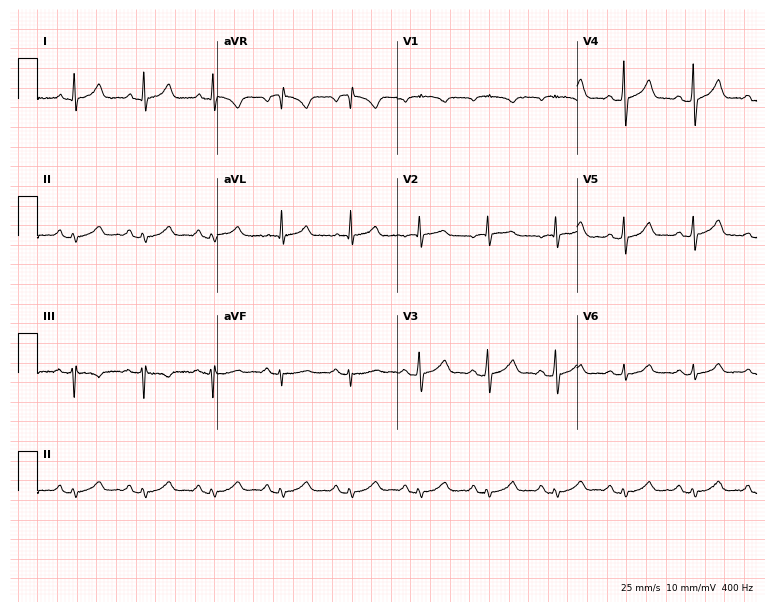
Standard 12-lead ECG recorded from a female patient, 69 years old. Read as a normal ECG.